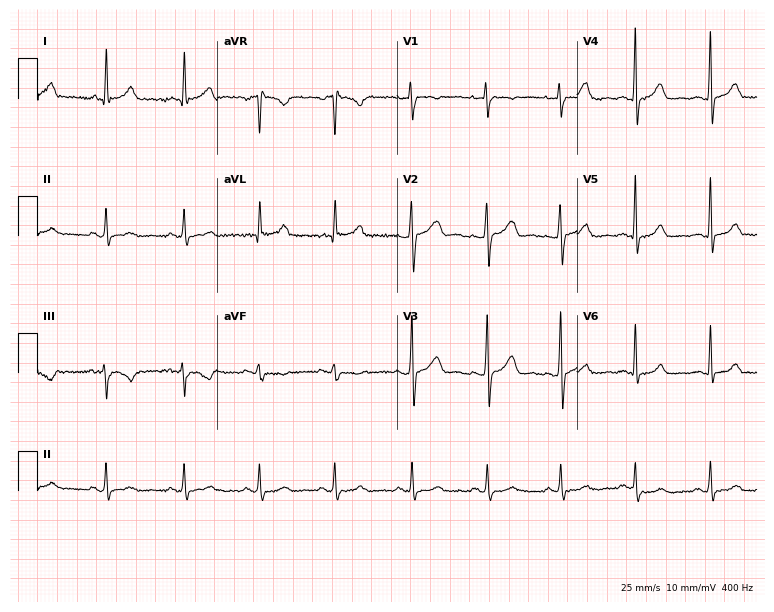
ECG — a female patient, 46 years old. Screened for six findings — first-degree AV block, right bundle branch block (RBBB), left bundle branch block (LBBB), sinus bradycardia, atrial fibrillation (AF), sinus tachycardia — none is recorded.